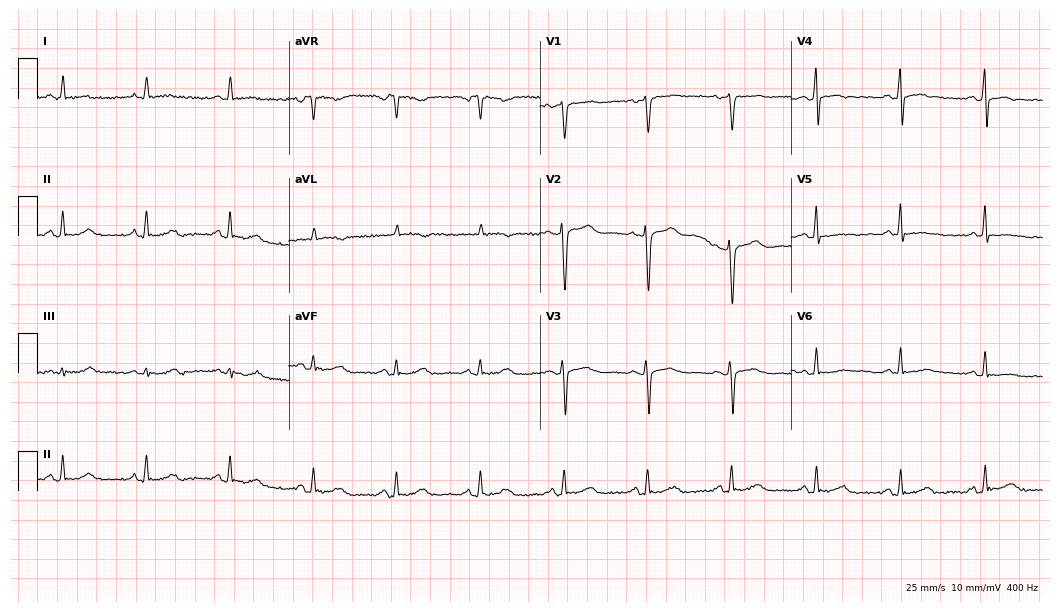
Standard 12-lead ECG recorded from a 64-year-old female. None of these six findings is recorded: first-degree AV block, right bundle branch block (RBBB), left bundle branch block (LBBB), sinus bradycardia, atrial fibrillation (AF), sinus tachycardia.